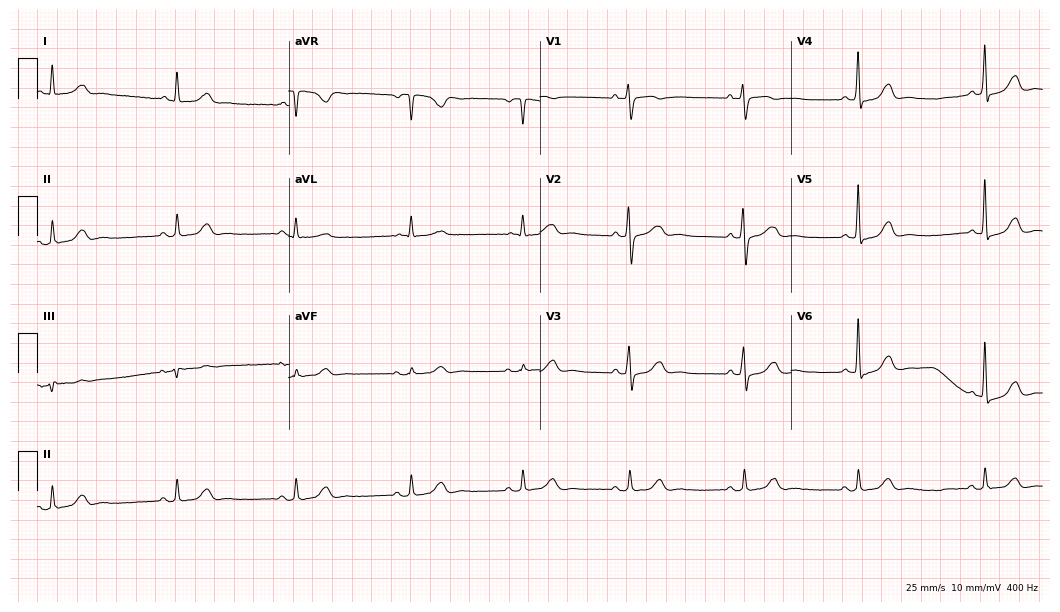
ECG (10.2-second recording at 400 Hz) — a woman, 76 years old. Labelled as a normal ECG.